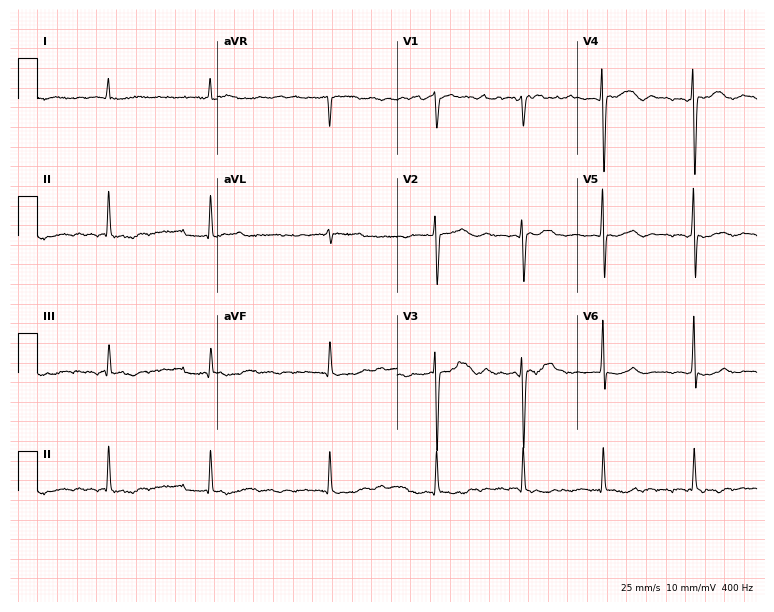
Standard 12-lead ECG recorded from a 76-year-old man. The tracing shows atrial fibrillation.